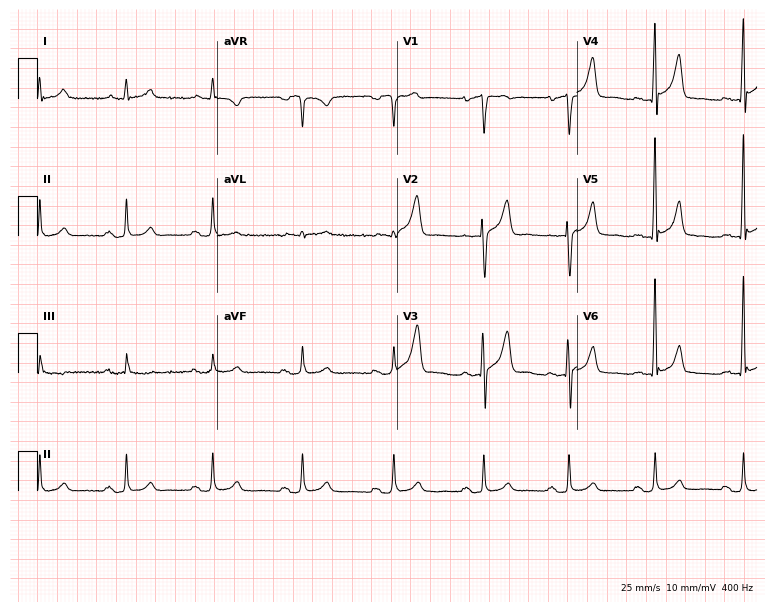
Resting 12-lead electrocardiogram (7.3-second recording at 400 Hz). Patient: a male, 47 years old. None of these six findings is recorded: first-degree AV block, right bundle branch block, left bundle branch block, sinus bradycardia, atrial fibrillation, sinus tachycardia. Only these six findings were labelled.